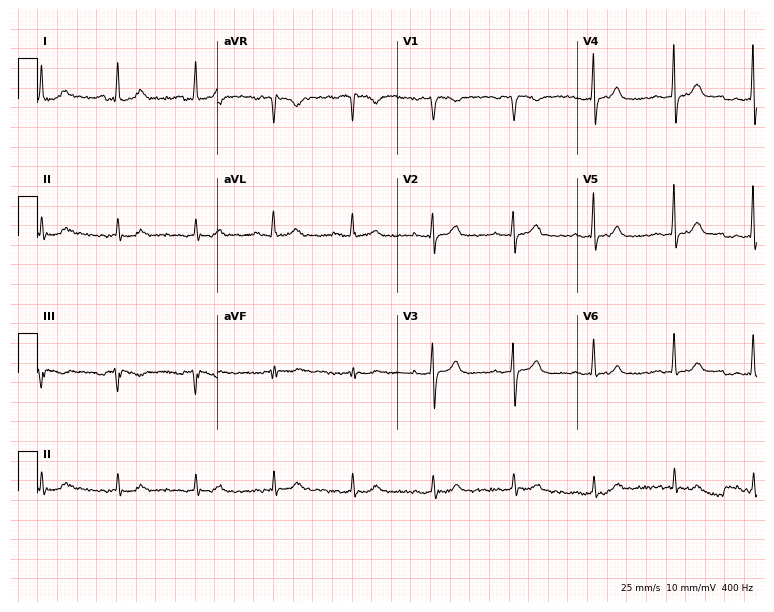
Standard 12-lead ECG recorded from a female patient, 52 years old (7.3-second recording at 400 Hz). Read as a normal ECG.